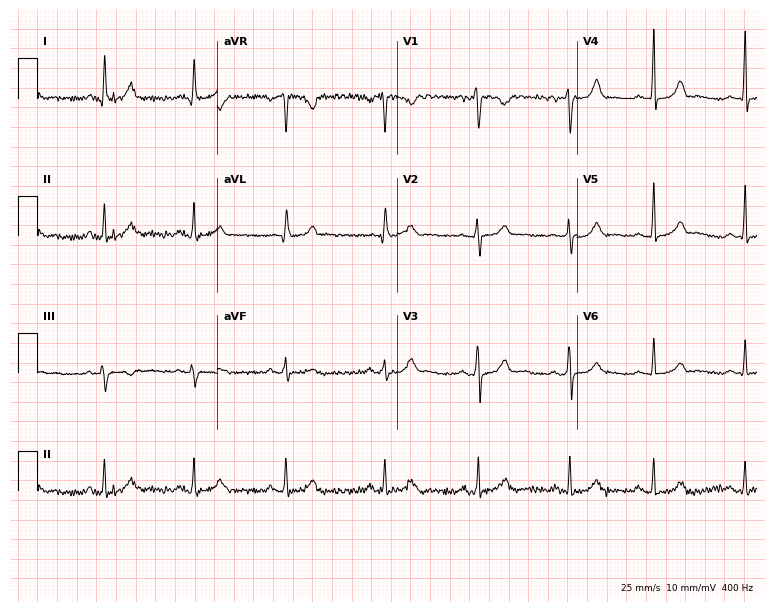
12-lead ECG from a 35-year-old woman. Recorded interpretation: within normal limits.